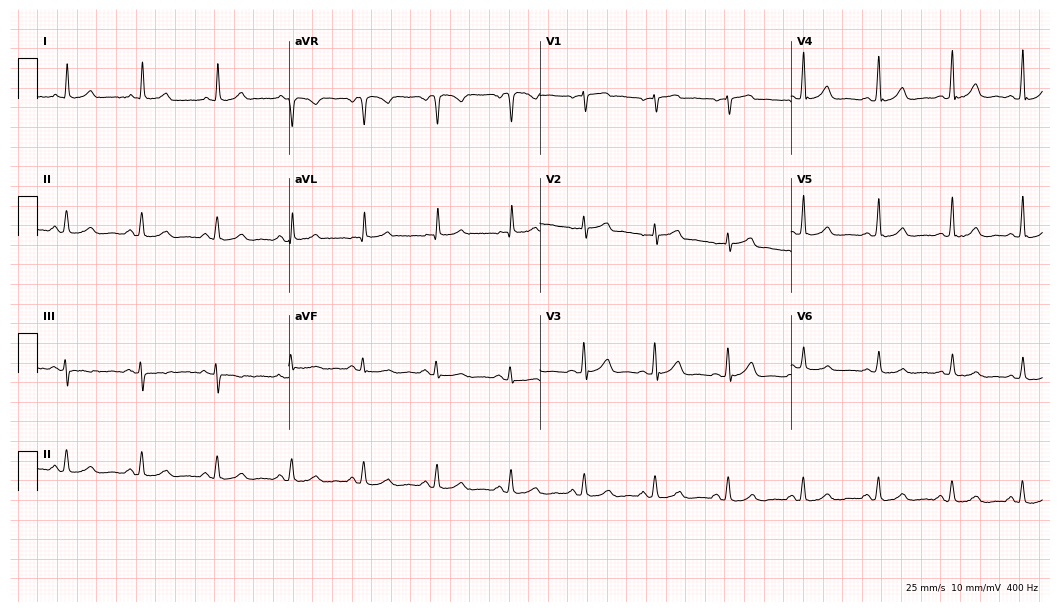
ECG — a 50-year-old female. Labelled as a normal ECG.